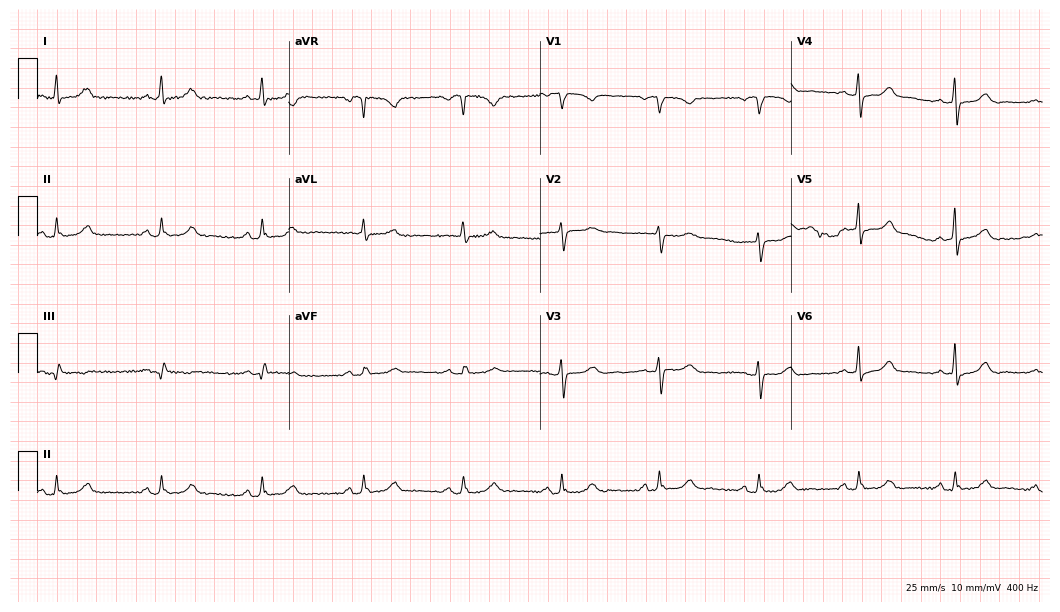
12-lead ECG from a female, 65 years old. Recorded interpretation: within normal limits.